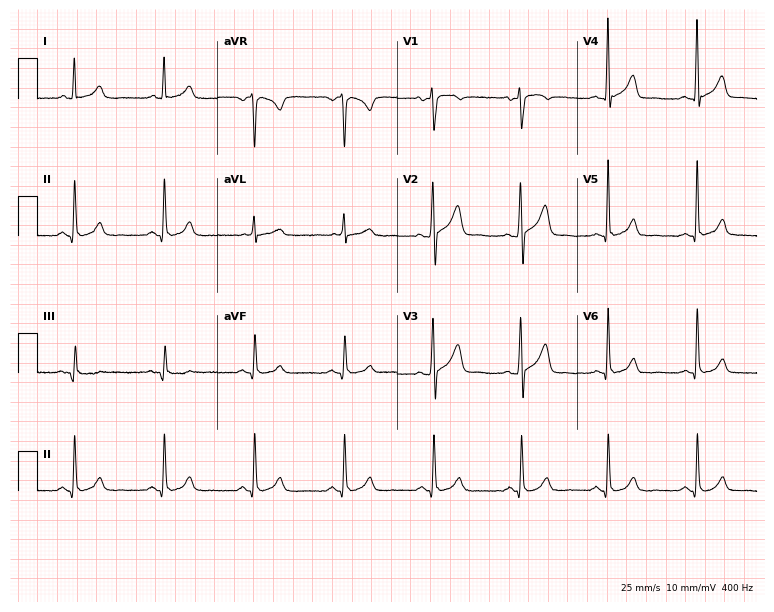
12-lead ECG from a man, 48 years old. No first-degree AV block, right bundle branch block (RBBB), left bundle branch block (LBBB), sinus bradycardia, atrial fibrillation (AF) or sinus tachycardia recorded for this tracing.